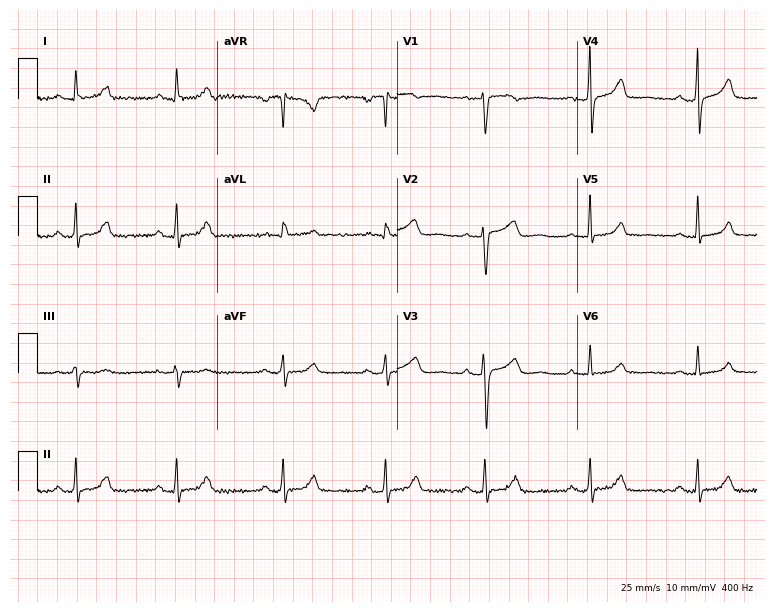
ECG — a 57-year-old female. Screened for six findings — first-degree AV block, right bundle branch block (RBBB), left bundle branch block (LBBB), sinus bradycardia, atrial fibrillation (AF), sinus tachycardia — none is recorded.